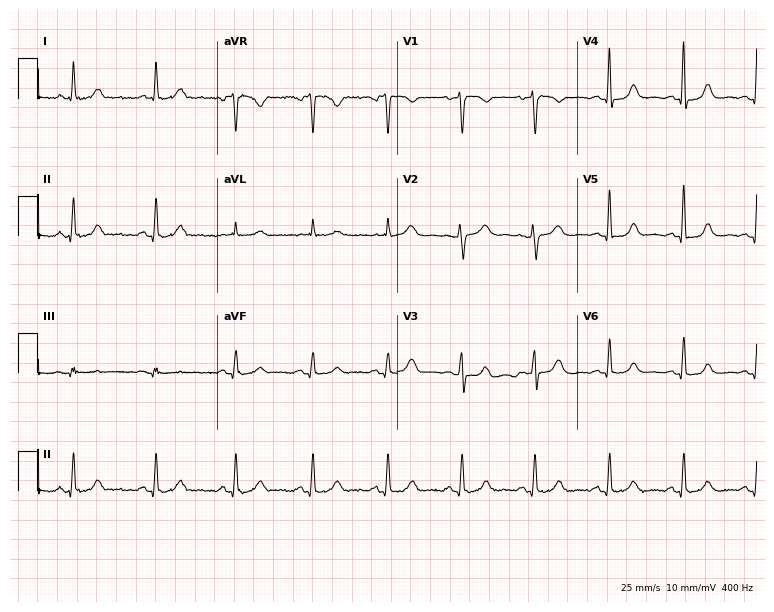
Resting 12-lead electrocardiogram (7.3-second recording at 400 Hz). Patient: a female, 55 years old. None of these six findings is recorded: first-degree AV block, right bundle branch block, left bundle branch block, sinus bradycardia, atrial fibrillation, sinus tachycardia.